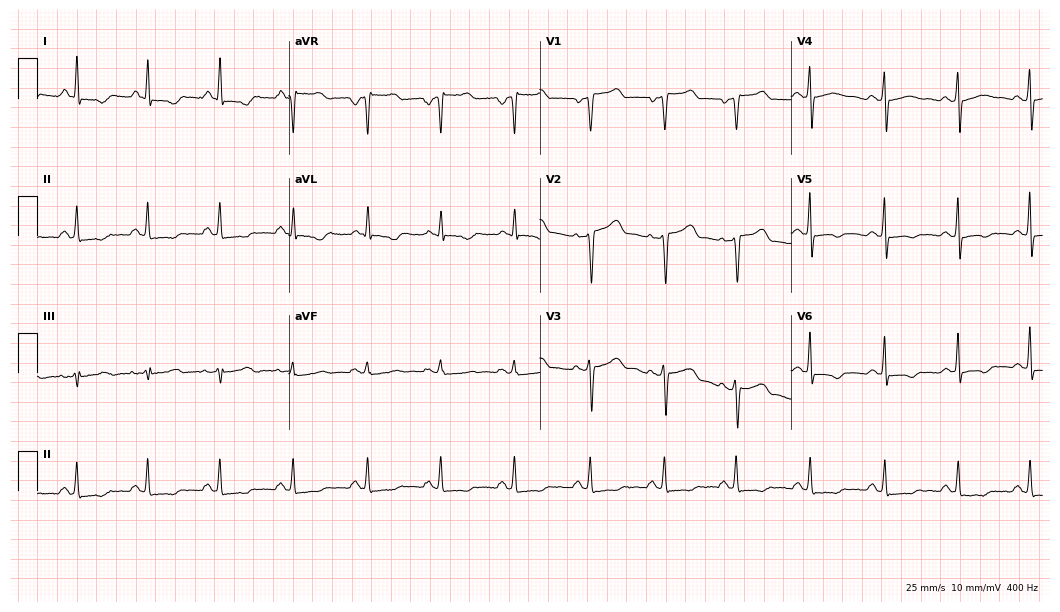
Standard 12-lead ECG recorded from a woman, 53 years old (10.2-second recording at 400 Hz). None of these six findings is recorded: first-degree AV block, right bundle branch block (RBBB), left bundle branch block (LBBB), sinus bradycardia, atrial fibrillation (AF), sinus tachycardia. Findings outside these six are not listed.